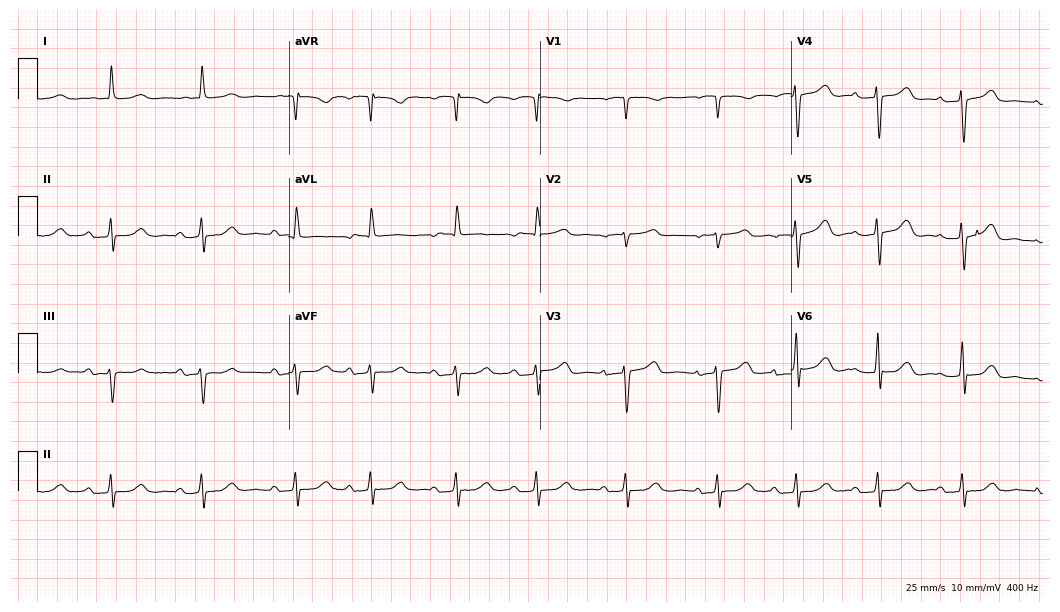
Resting 12-lead electrocardiogram (10.2-second recording at 400 Hz). Patient: a female, 85 years old. The tracing shows first-degree AV block.